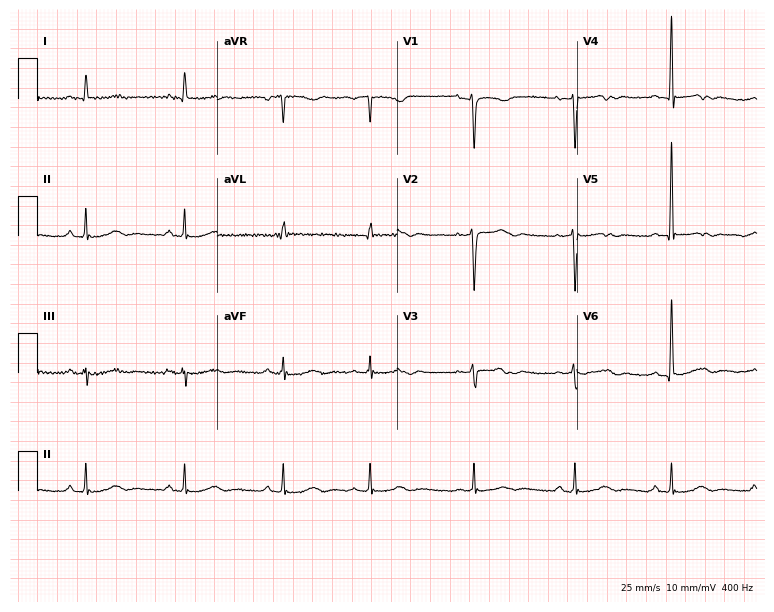
12-lead ECG from a woman, 46 years old. Screened for six findings — first-degree AV block, right bundle branch block, left bundle branch block, sinus bradycardia, atrial fibrillation, sinus tachycardia — none is recorded. Findings outside these six are not listed.